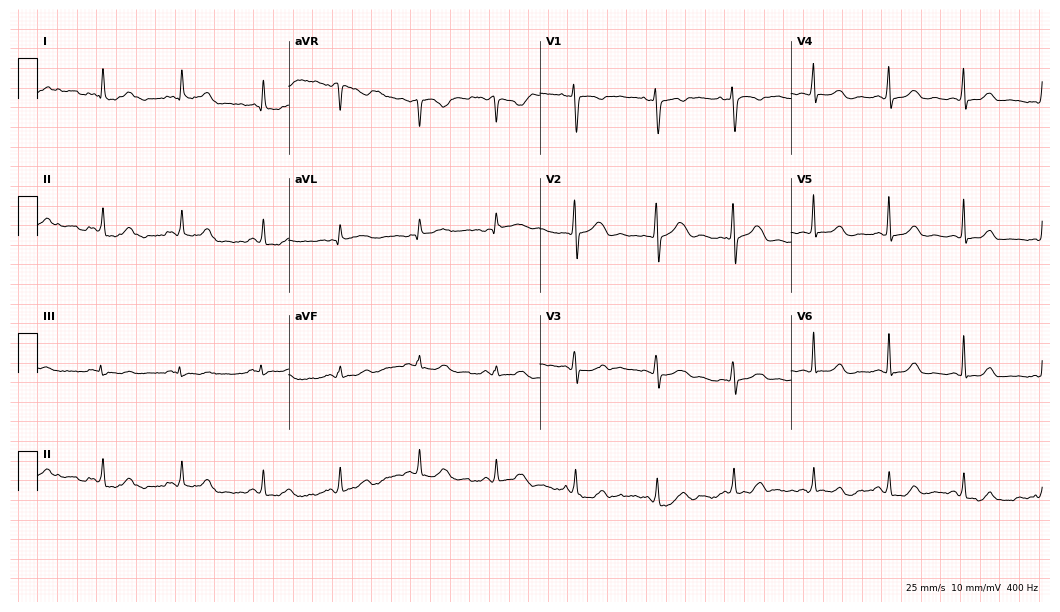
12-lead ECG (10.2-second recording at 400 Hz) from a 39-year-old female patient. Labelled as a normal ECG.